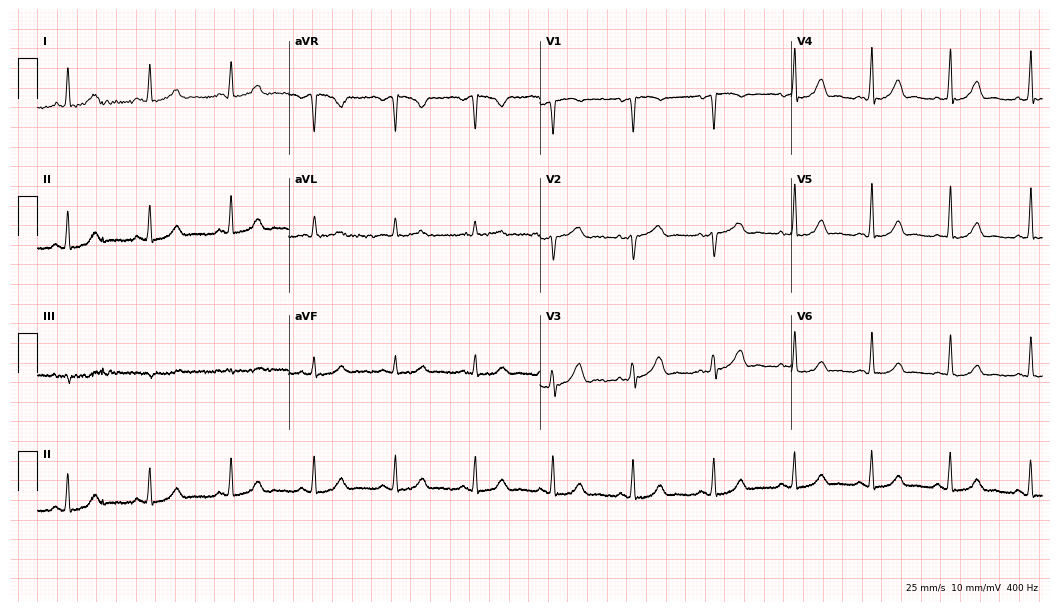
Standard 12-lead ECG recorded from a female patient, 36 years old. Read as a normal ECG.